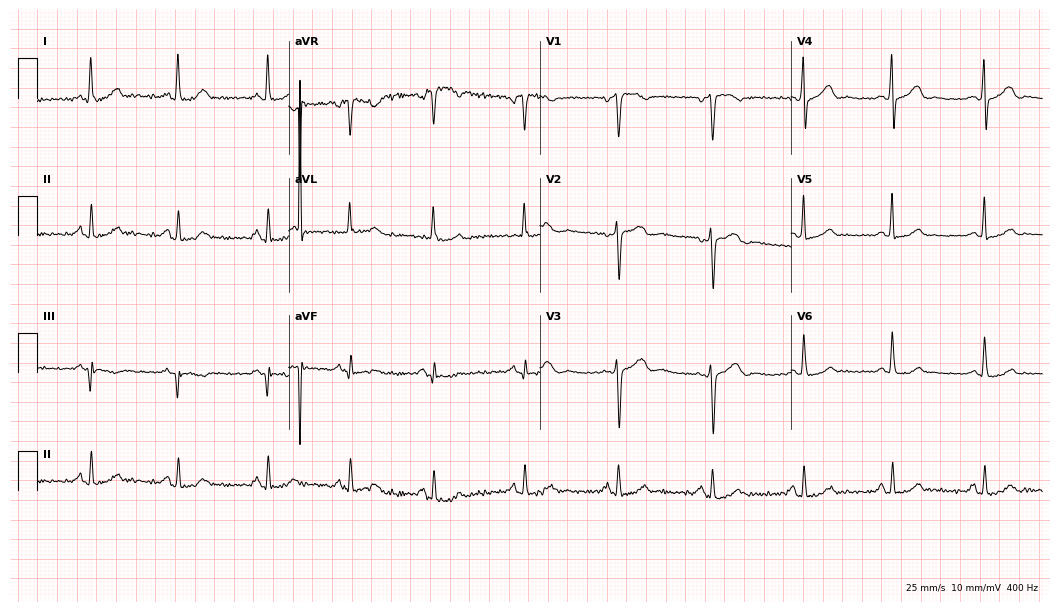
Resting 12-lead electrocardiogram. Patient: a woman, 42 years old. None of these six findings is recorded: first-degree AV block, right bundle branch block, left bundle branch block, sinus bradycardia, atrial fibrillation, sinus tachycardia. Other findings, if any, are not listed.